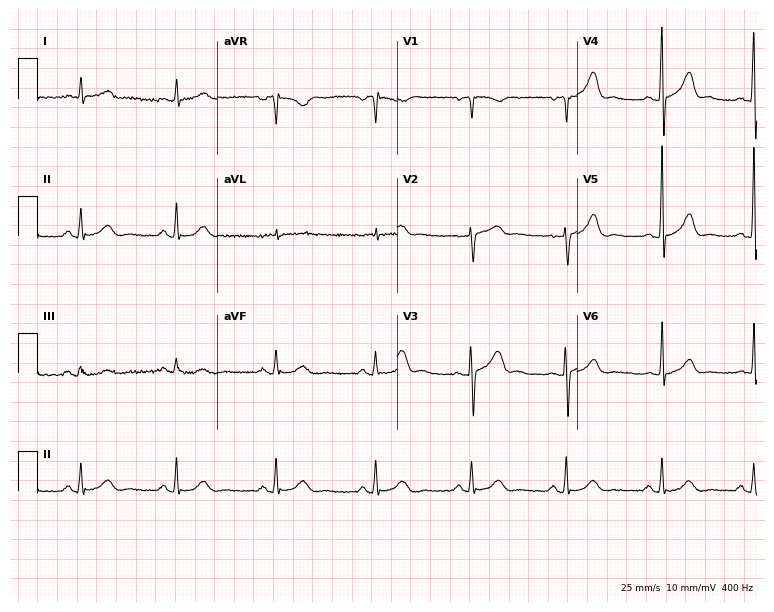
12-lead ECG (7.3-second recording at 400 Hz) from a 66-year-old male patient. Screened for six findings — first-degree AV block, right bundle branch block, left bundle branch block, sinus bradycardia, atrial fibrillation, sinus tachycardia — none is recorded.